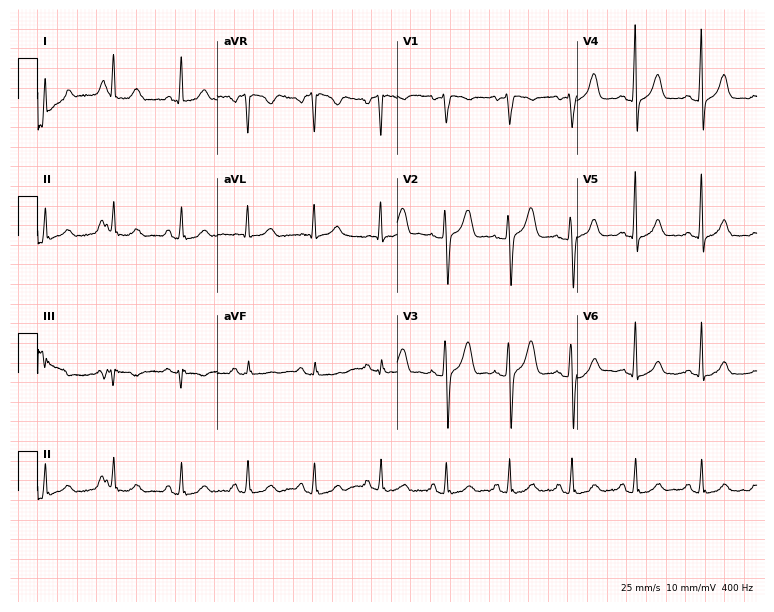
ECG — a 49-year-old female patient. Screened for six findings — first-degree AV block, right bundle branch block, left bundle branch block, sinus bradycardia, atrial fibrillation, sinus tachycardia — none is recorded.